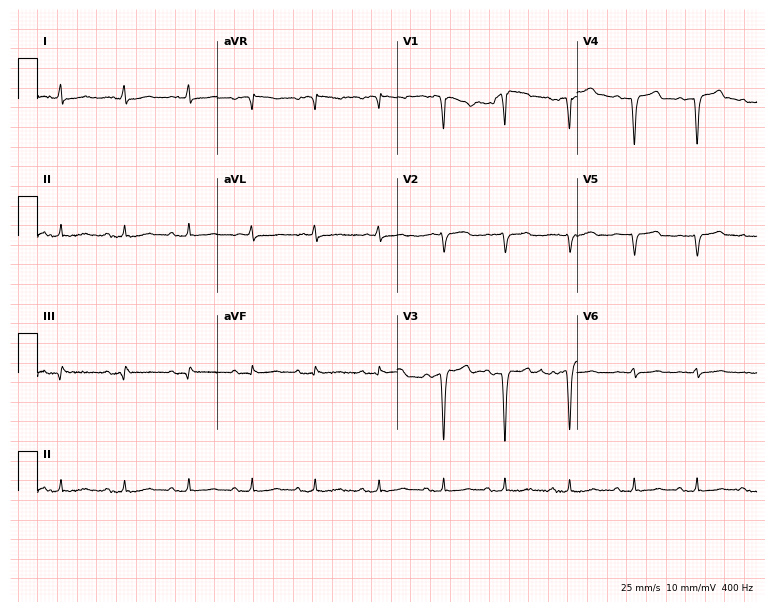
Electrocardiogram (7.3-second recording at 400 Hz), an 83-year-old male patient. Of the six screened findings (first-degree AV block, right bundle branch block (RBBB), left bundle branch block (LBBB), sinus bradycardia, atrial fibrillation (AF), sinus tachycardia), none is recorded. Only these six findings were labelled.